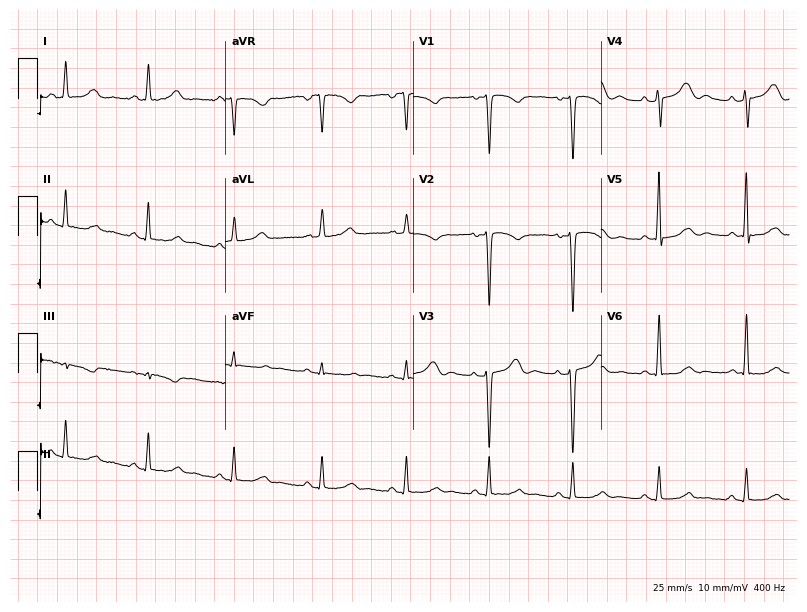
Resting 12-lead electrocardiogram. Patient: a 39-year-old woman. None of these six findings is recorded: first-degree AV block, right bundle branch block, left bundle branch block, sinus bradycardia, atrial fibrillation, sinus tachycardia. Only these six findings were labelled.